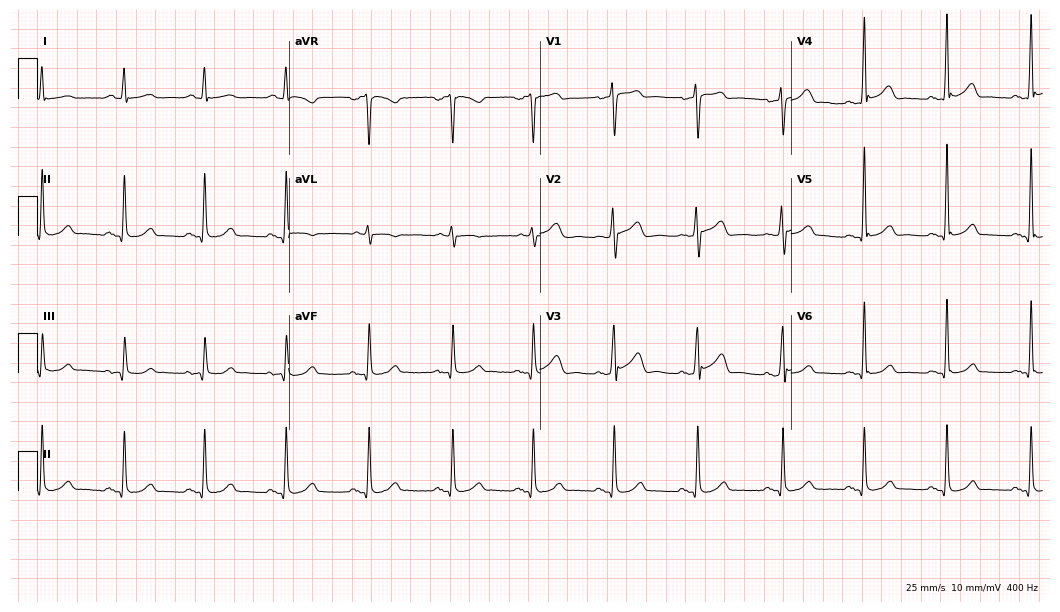
Electrocardiogram (10.2-second recording at 400 Hz), a man, 58 years old. Of the six screened findings (first-degree AV block, right bundle branch block, left bundle branch block, sinus bradycardia, atrial fibrillation, sinus tachycardia), none is recorded. Findings outside these six are not listed.